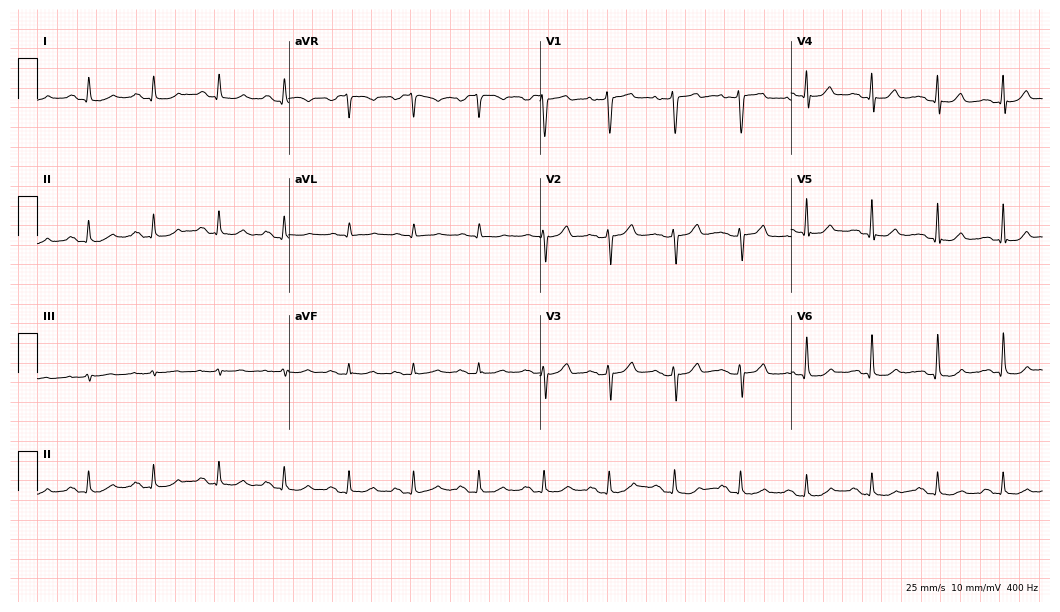
Standard 12-lead ECG recorded from an 85-year-old female. Read as a normal ECG.